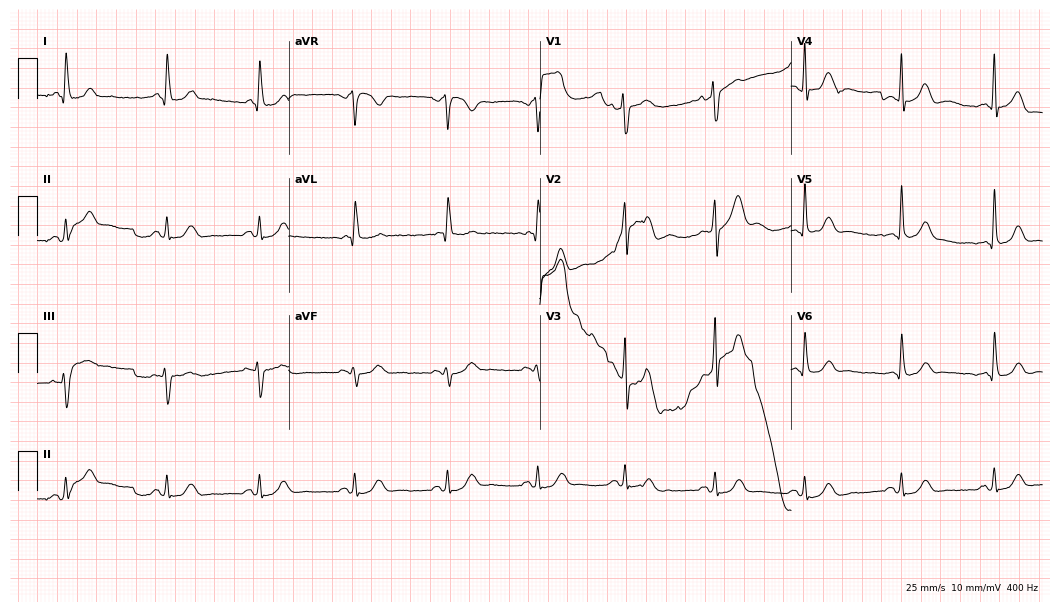
ECG — a 67-year-old man. Labelled as a normal ECG.